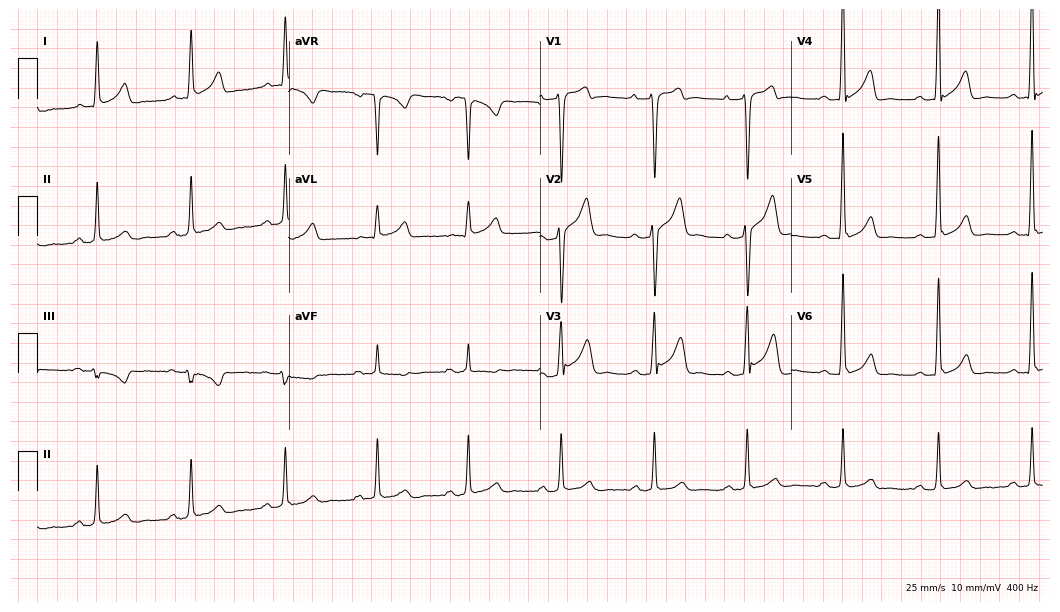
ECG — a 39-year-old male patient. Labelled as a normal ECG.